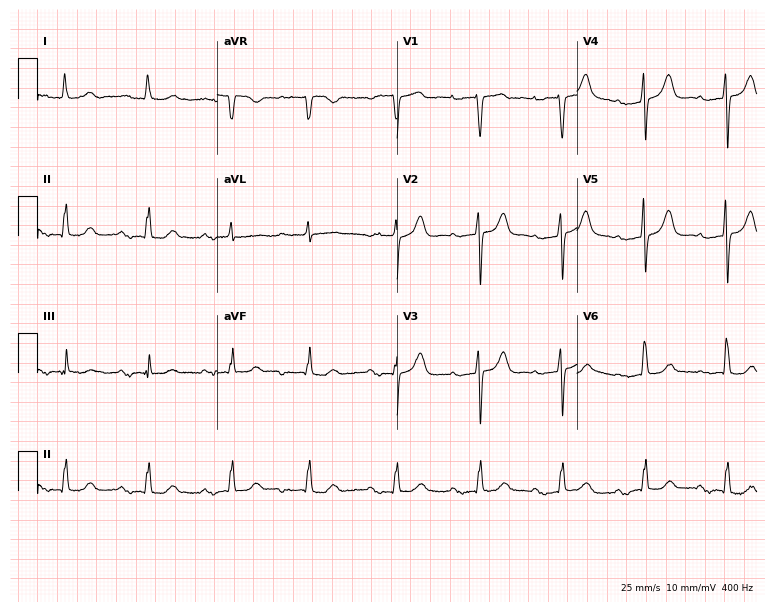
Standard 12-lead ECG recorded from a female, 84 years old. None of these six findings is recorded: first-degree AV block, right bundle branch block, left bundle branch block, sinus bradycardia, atrial fibrillation, sinus tachycardia. Only these six findings were labelled.